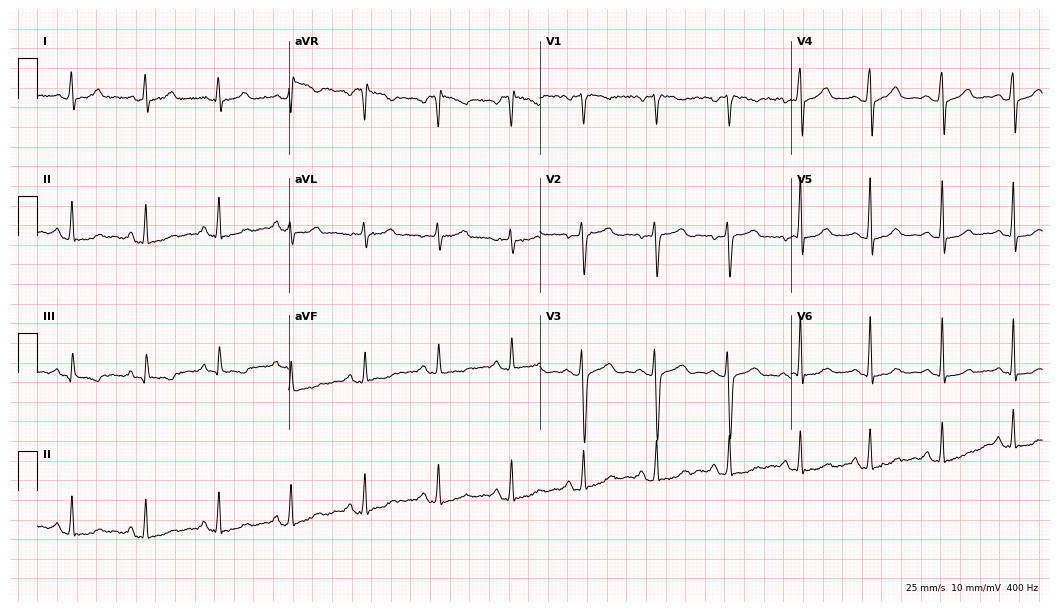
12-lead ECG (10.2-second recording at 400 Hz) from a 36-year-old female patient. Screened for six findings — first-degree AV block, right bundle branch block, left bundle branch block, sinus bradycardia, atrial fibrillation, sinus tachycardia — none is recorded.